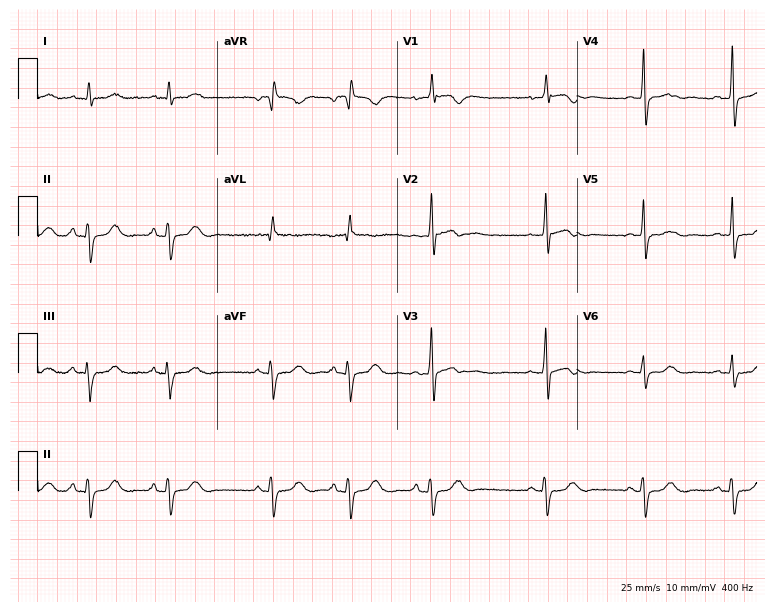
Electrocardiogram (7.3-second recording at 400 Hz), a 68-year-old woman. Of the six screened findings (first-degree AV block, right bundle branch block, left bundle branch block, sinus bradycardia, atrial fibrillation, sinus tachycardia), none is recorded.